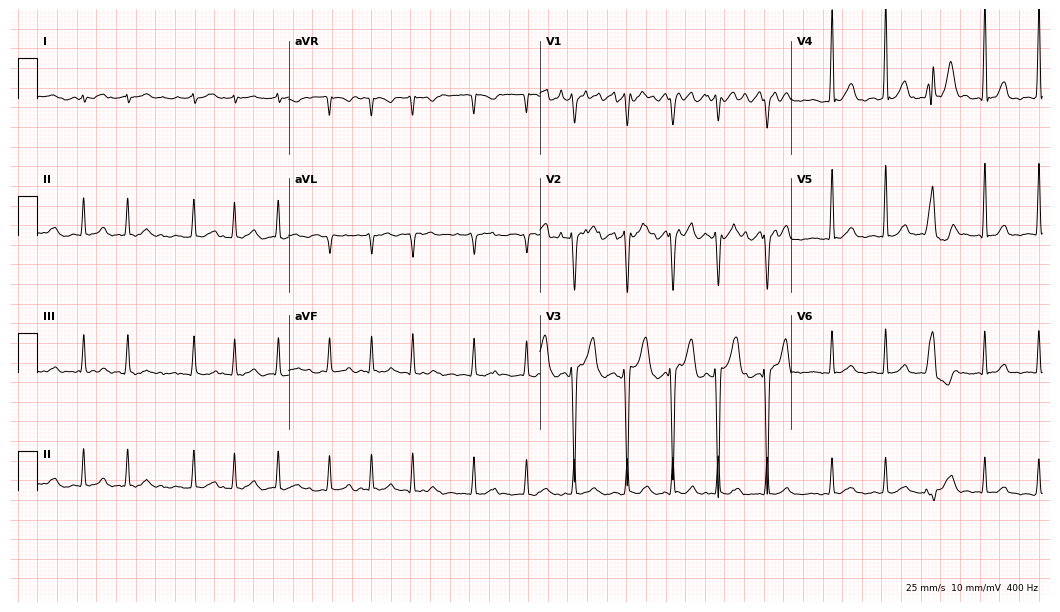
12-lead ECG from a 55-year-old male. Shows atrial fibrillation.